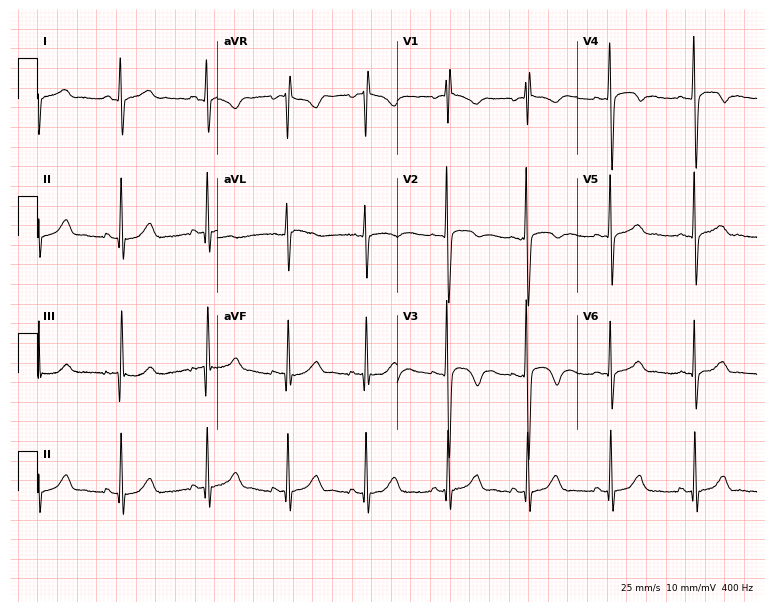
12-lead ECG from a male patient, 24 years old. Screened for six findings — first-degree AV block, right bundle branch block, left bundle branch block, sinus bradycardia, atrial fibrillation, sinus tachycardia — none is recorded.